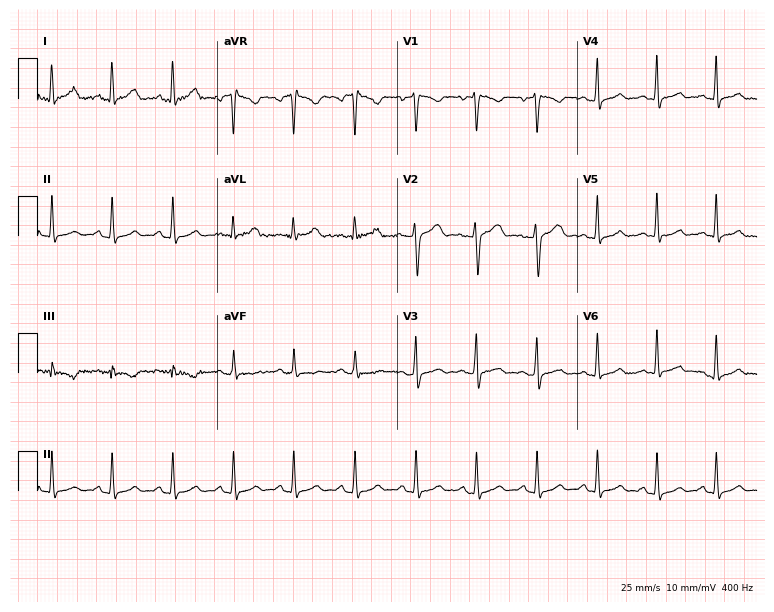
Resting 12-lead electrocardiogram. Patient: a 25-year-old female. Read as a normal ECG.